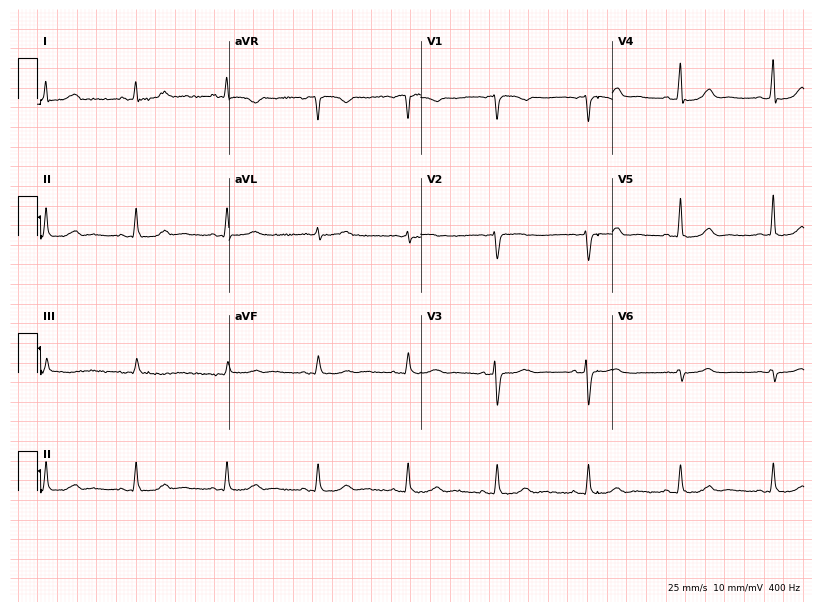
ECG (7.8-second recording at 400 Hz) — a woman, 58 years old. Labelled as a normal ECG.